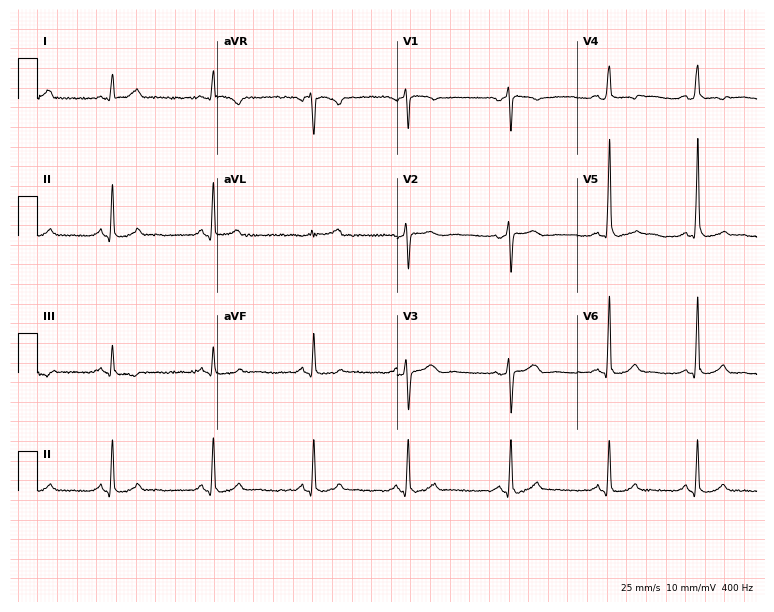
12-lead ECG from a 46-year-old woman (7.3-second recording at 400 Hz). Recorded interpretation: within normal limits.